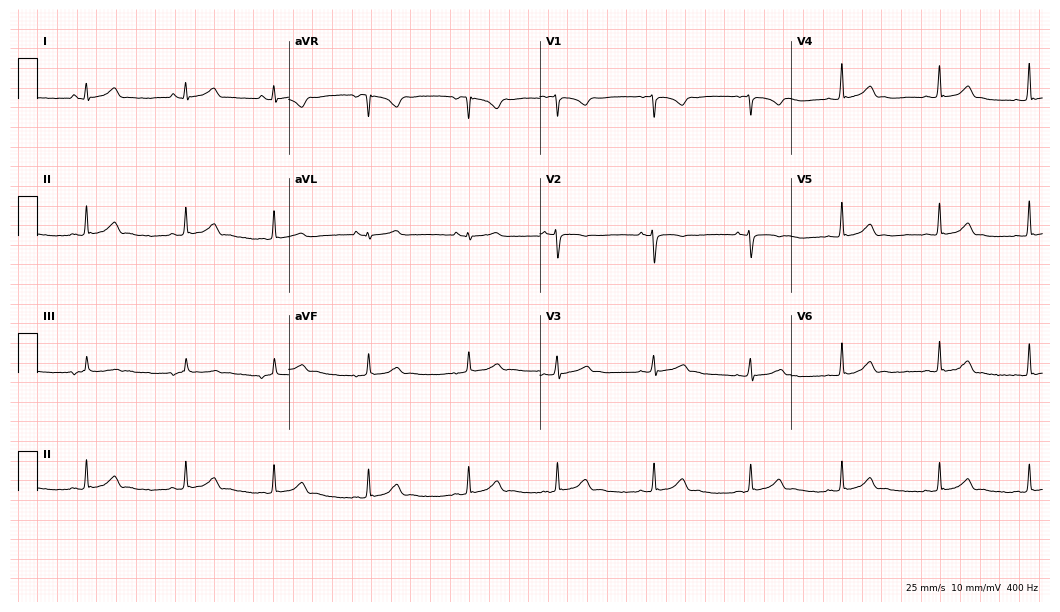
Resting 12-lead electrocardiogram. Patient: a 20-year-old female. Read as a normal ECG.